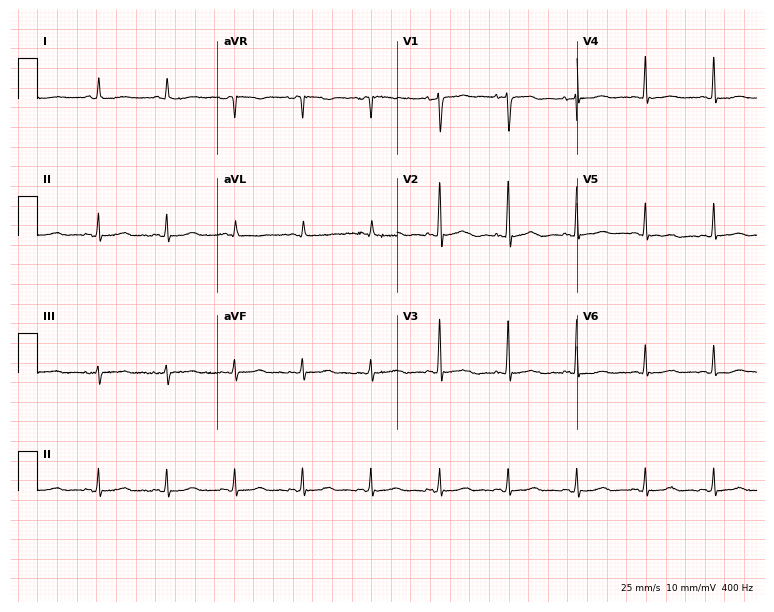
Electrocardiogram (7.3-second recording at 400 Hz), a woman, 72 years old. Overall reading on record: normal ECG.